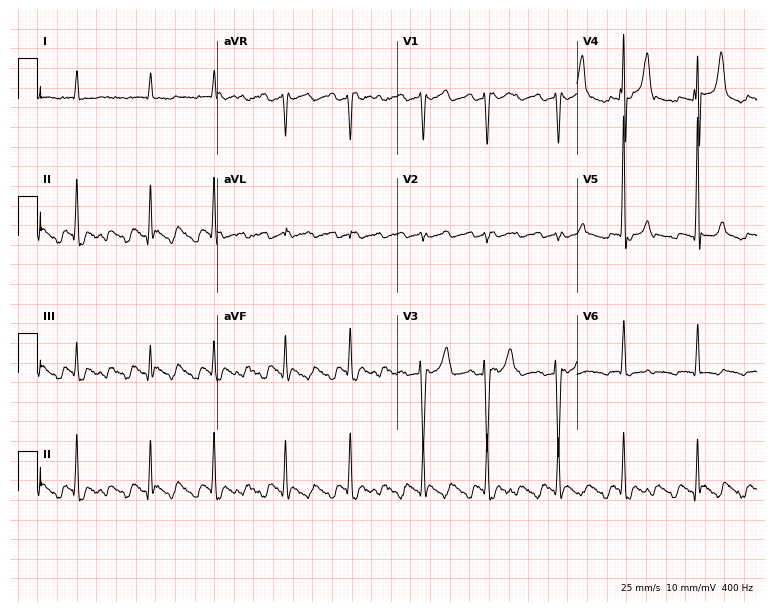
ECG — a 72-year-old man. Screened for six findings — first-degree AV block, right bundle branch block, left bundle branch block, sinus bradycardia, atrial fibrillation, sinus tachycardia — none is recorded.